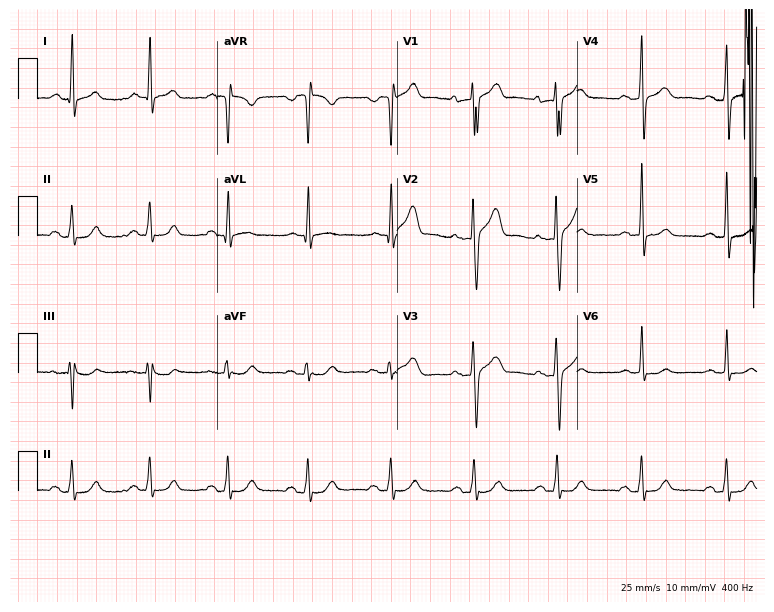
Standard 12-lead ECG recorded from a male, 51 years old (7.3-second recording at 400 Hz). Read as a normal ECG.